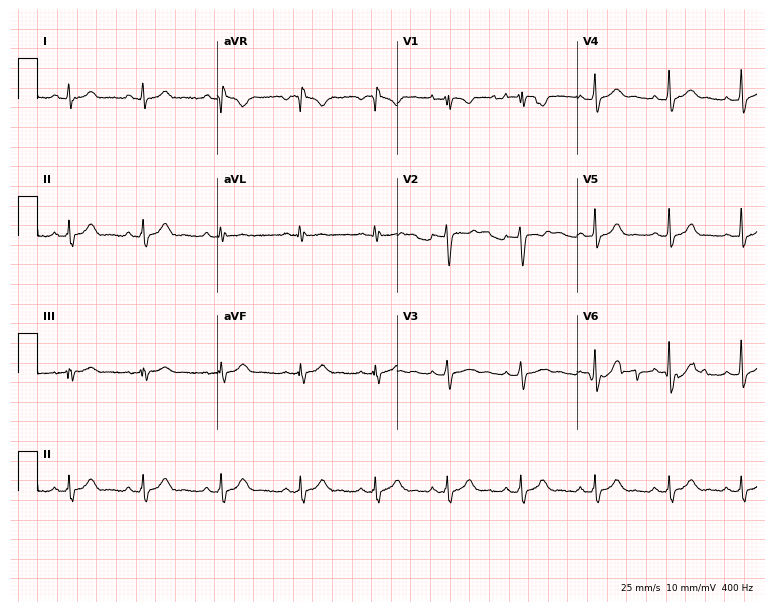
Resting 12-lead electrocardiogram (7.3-second recording at 400 Hz). Patient: a 17-year-old female. None of these six findings is recorded: first-degree AV block, right bundle branch block, left bundle branch block, sinus bradycardia, atrial fibrillation, sinus tachycardia. Other findings, if any, are not listed.